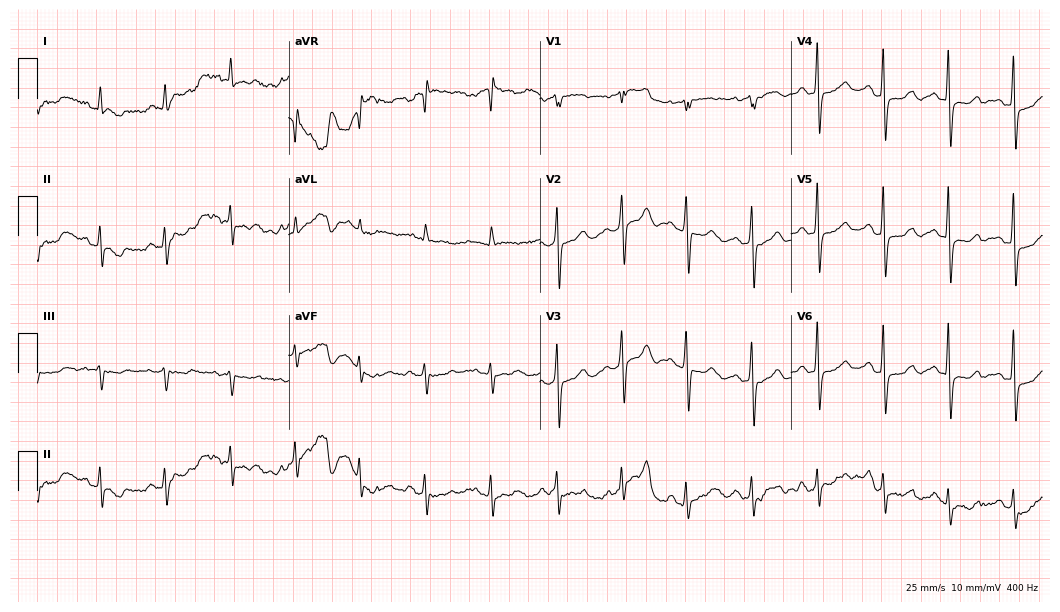
ECG — a 73-year-old male patient. Screened for six findings — first-degree AV block, right bundle branch block, left bundle branch block, sinus bradycardia, atrial fibrillation, sinus tachycardia — none is recorded.